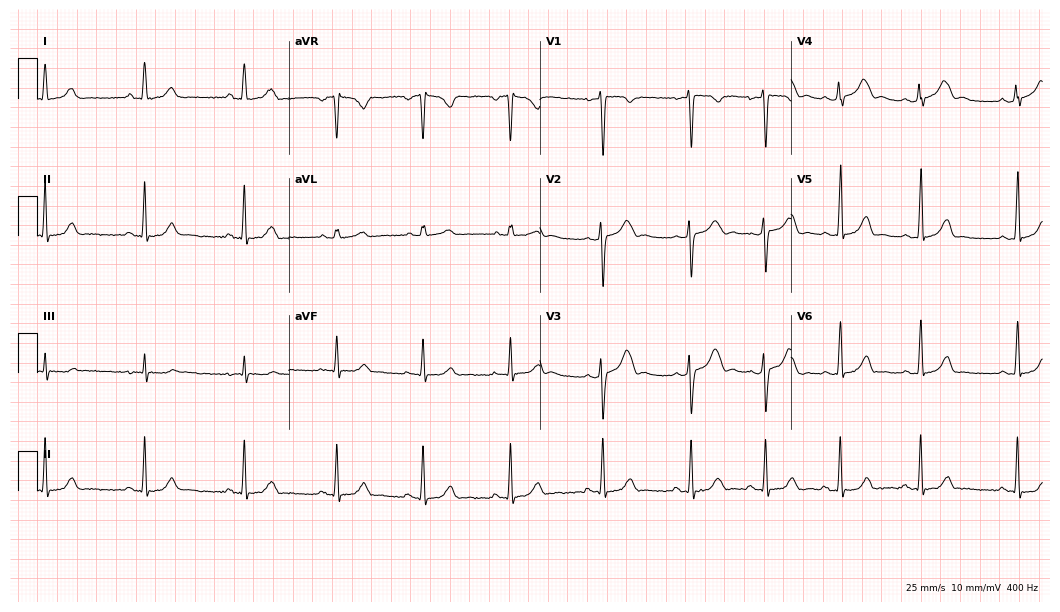
12-lead ECG from a 25-year-old female patient. Screened for six findings — first-degree AV block, right bundle branch block (RBBB), left bundle branch block (LBBB), sinus bradycardia, atrial fibrillation (AF), sinus tachycardia — none is recorded.